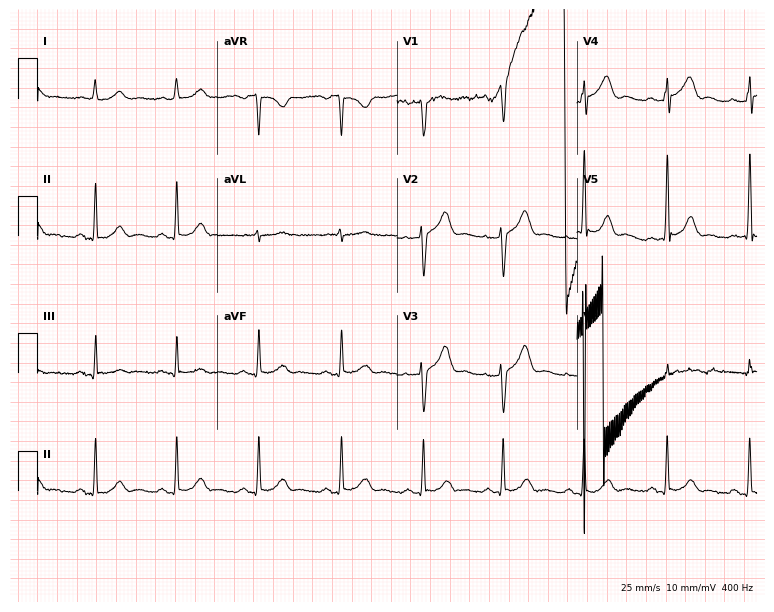
12-lead ECG (7.3-second recording at 400 Hz) from a female, 44 years old. Screened for six findings — first-degree AV block, right bundle branch block, left bundle branch block, sinus bradycardia, atrial fibrillation, sinus tachycardia — none is recorded. Other findings, if any, are not listed.